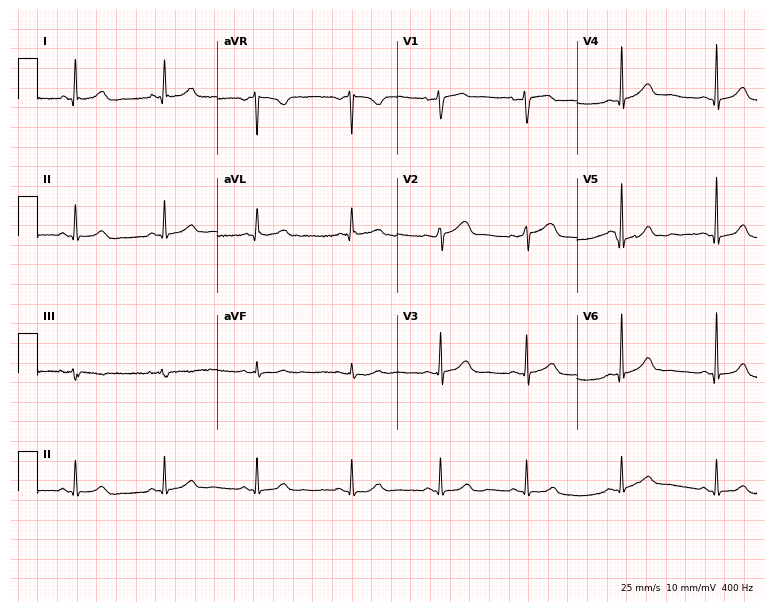
ECG — a woman, 32 years old. Labelled as a normal ECG.